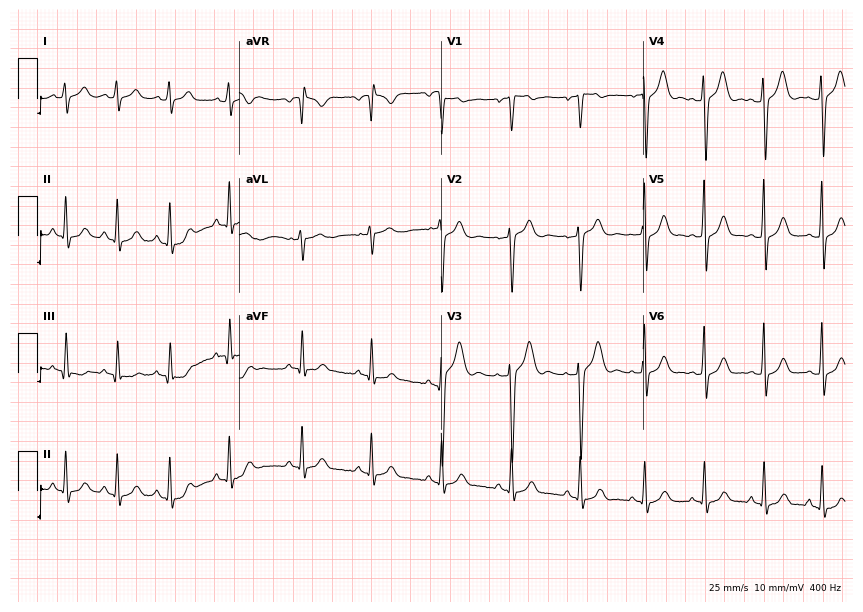
Standard 12-lead ECG recorded from a 23-year-old woman. Read as a normal ECG.